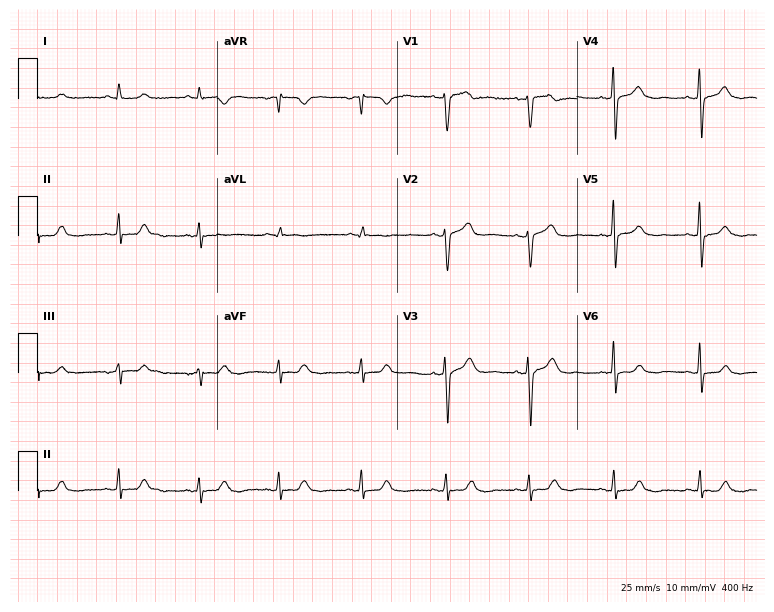
12-lead ECG from a female patient, 50 years old (7.3-second recording at 400 Hz). Recorded interpretation: within normal limits.